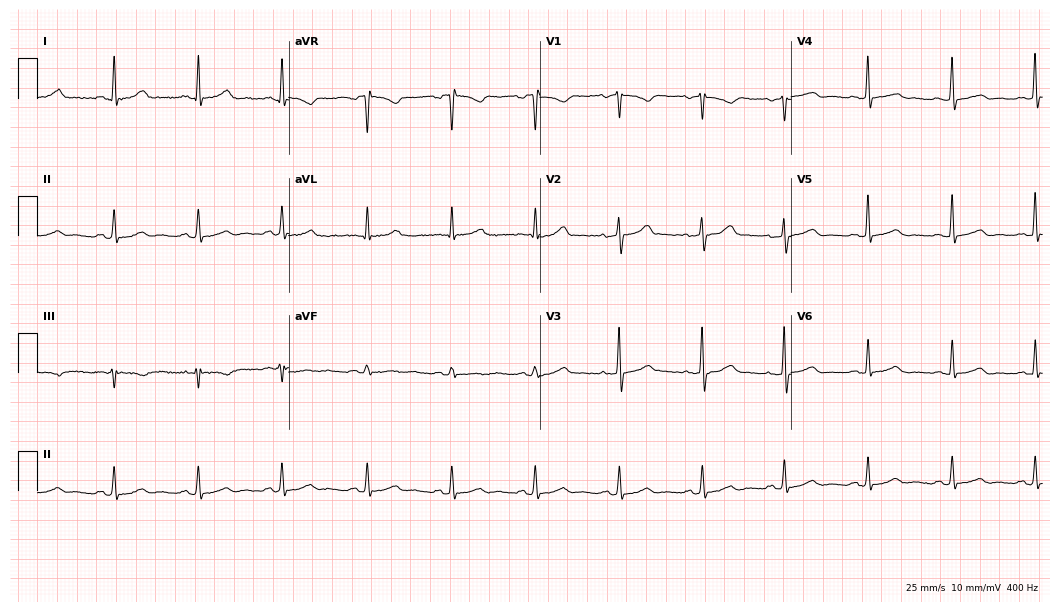
ECG — a woman, 36 years old. Labelled as a normal ECG.